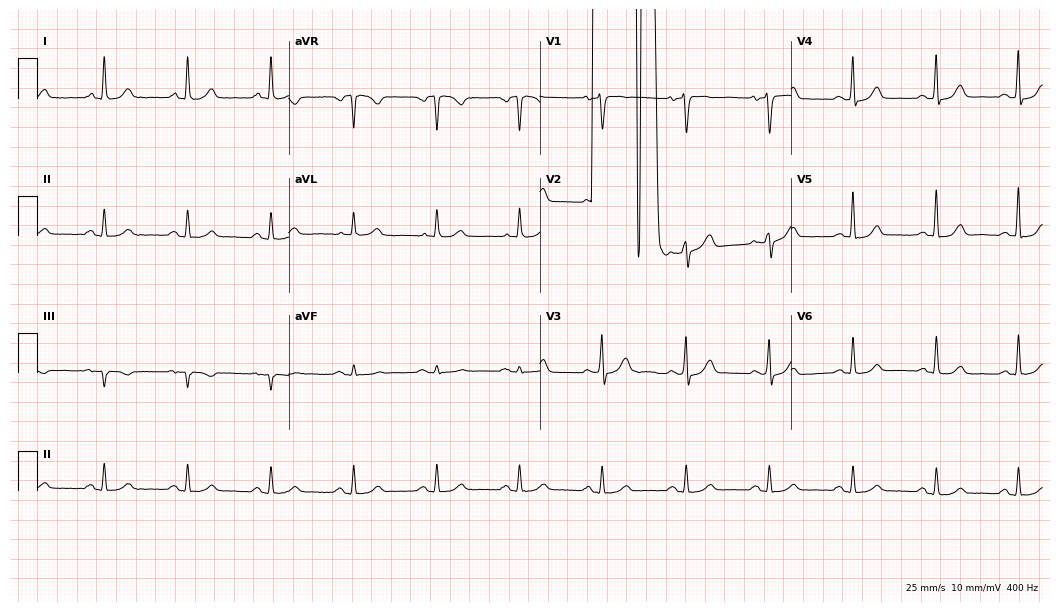
12-lead ECG (10.2-second recording at 400 Hz) from a female, 68 years old. Labelled as a normal ECG.